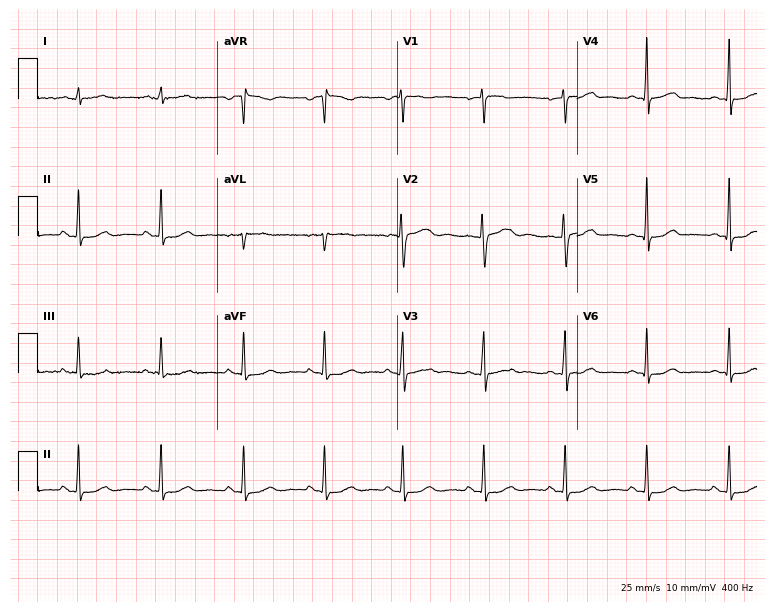
12-lead ECG (7.3-second recording at 400 Hz) from a 41-year-old female. Labelled as a normal ECG.